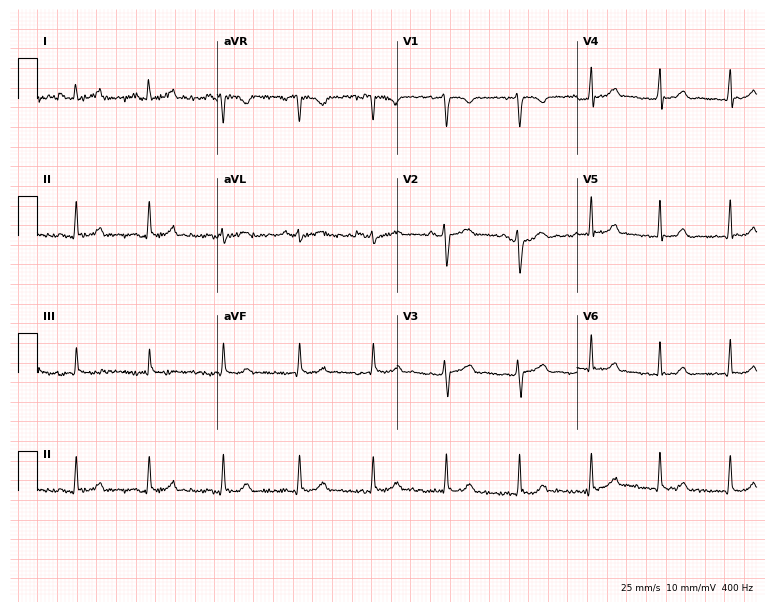
12-lead ECG from a woman, 34 years old (7.3-second recording at 400 Hz). Recorded interpretation: within normal limits.